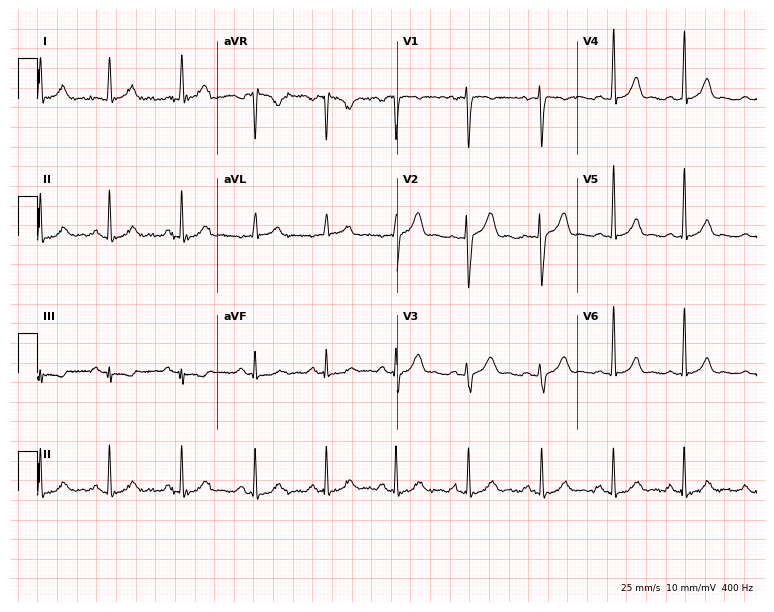
Electrocardiogram, a 31-year-old female. Overall reading on record: normal ECG.